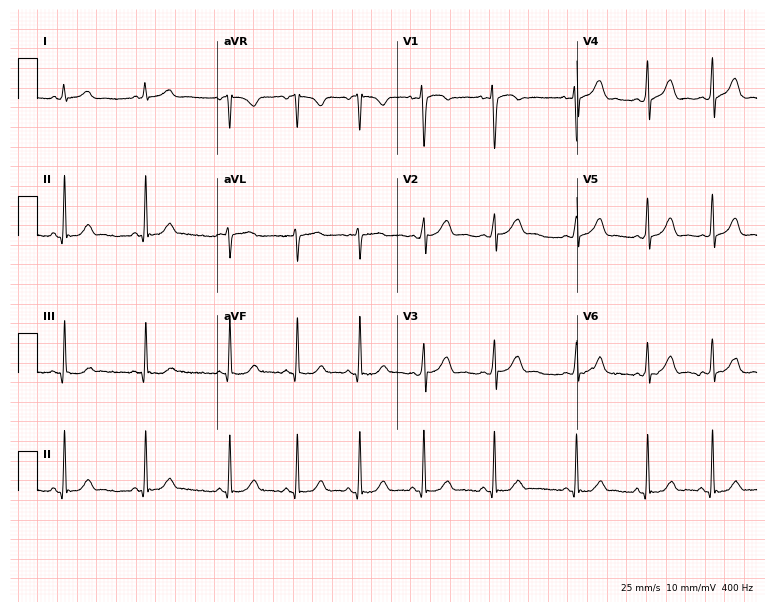
Standard 12-lead ECG recorded from a female patient, 23 years old (7.3-second recording at 400 Hz). Read as a normal ECG.